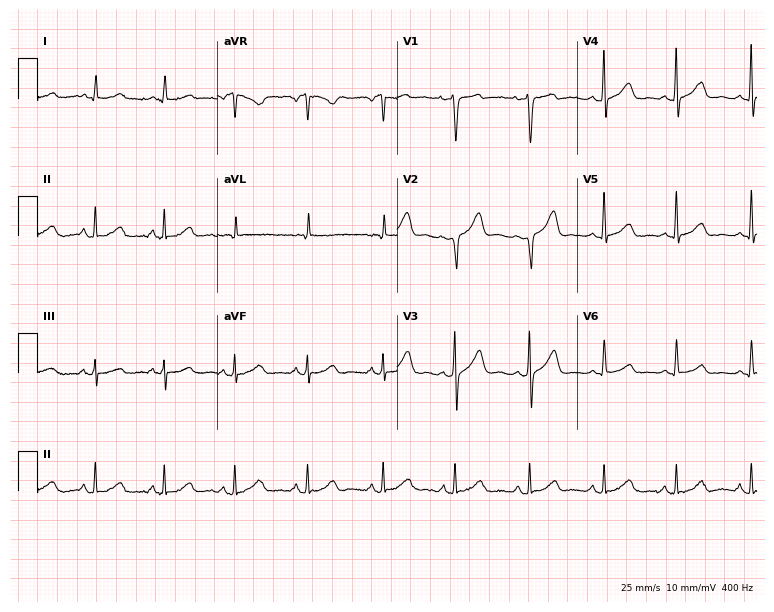
Resting 12-lead electrocardiogram (7.3-second recording at 400 Hz). Patient: a female, 52 years old. None of these six findings is recorded: first-degree AV block, right bundle branch block, left bundle branch block, sinus bradycardia, atrial fibrillation, sinus tachycardia. Other findings, if any, are not listed.